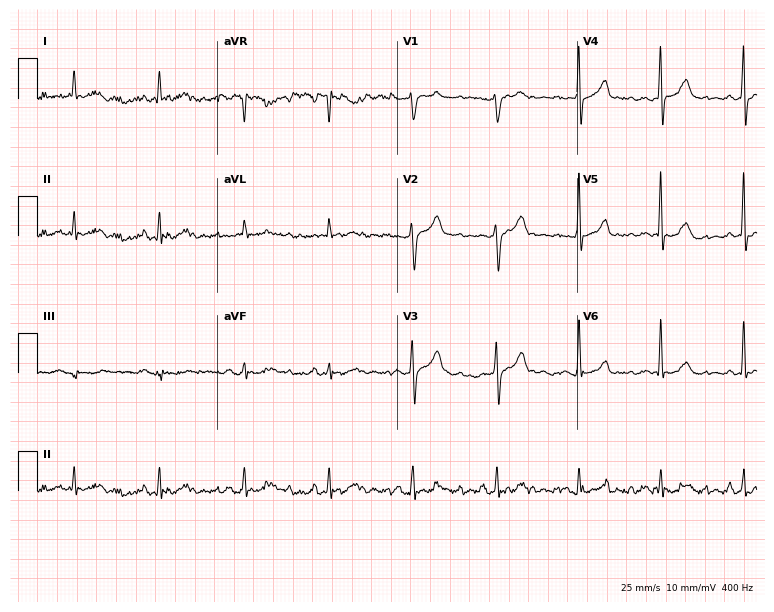
12-lead ECG from a man, 82 years old (7.3-second recording at 400 Hz). Recorded interpretation: within normal limits.